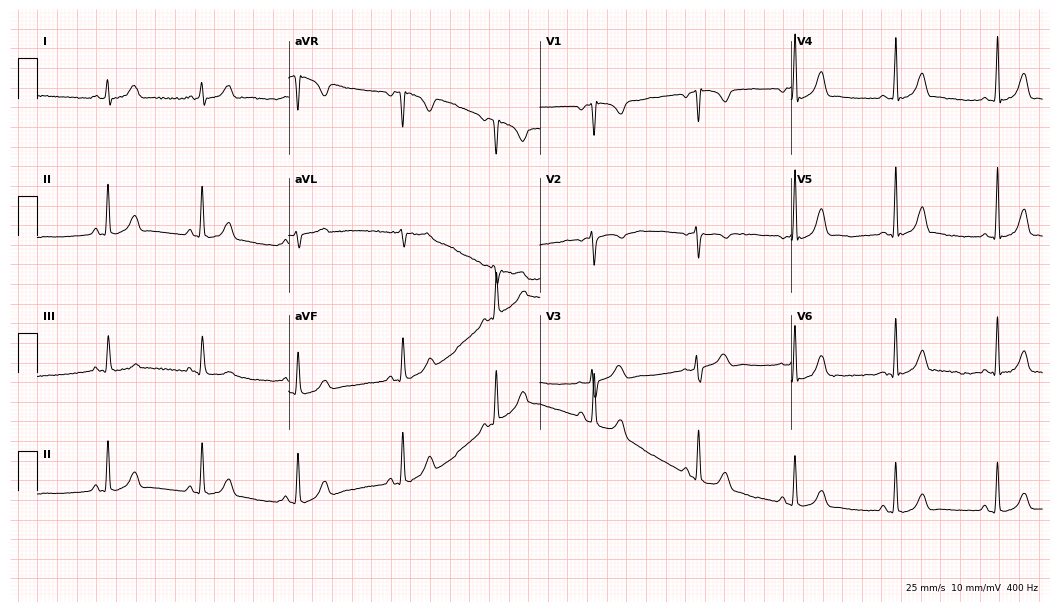
Standard 12-lead ECG recorded from a female patient, 18 years old. Read as a normal ECG.